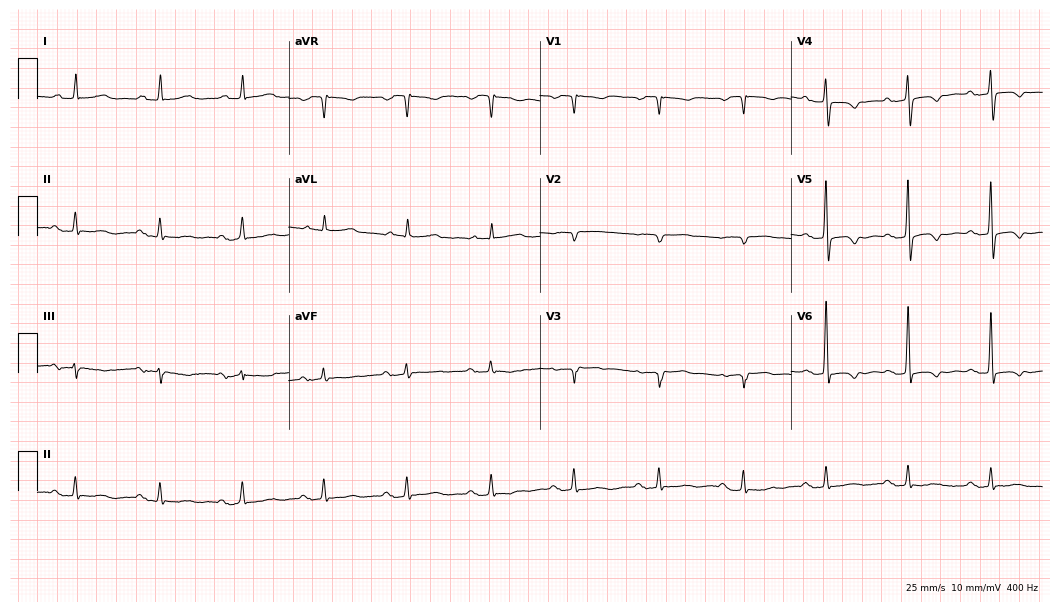
Standard 12-lead ECG recorded from a 67-year-old female. The tracing shows first-degree AV block.